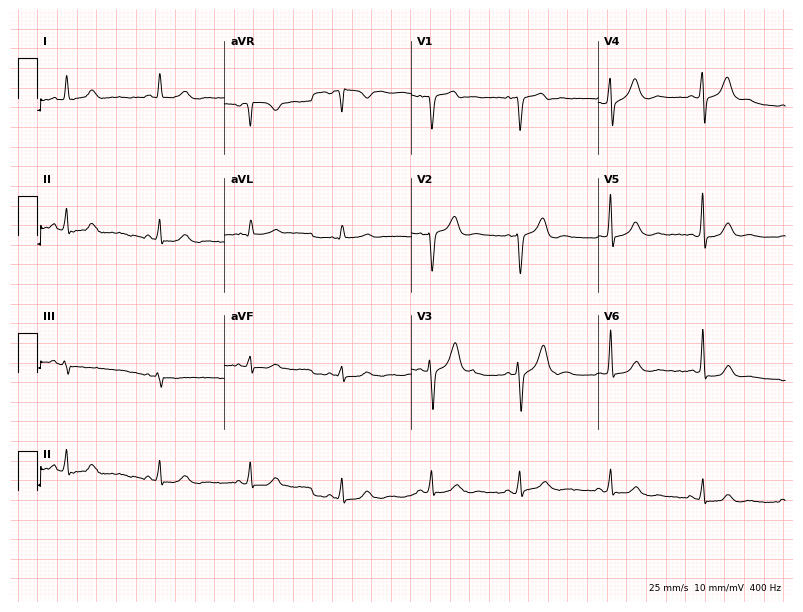
12-lead ECG from a man, 46 years old (7.6-second recording at 400 Hz). Recorded interpretation: within normal limits.